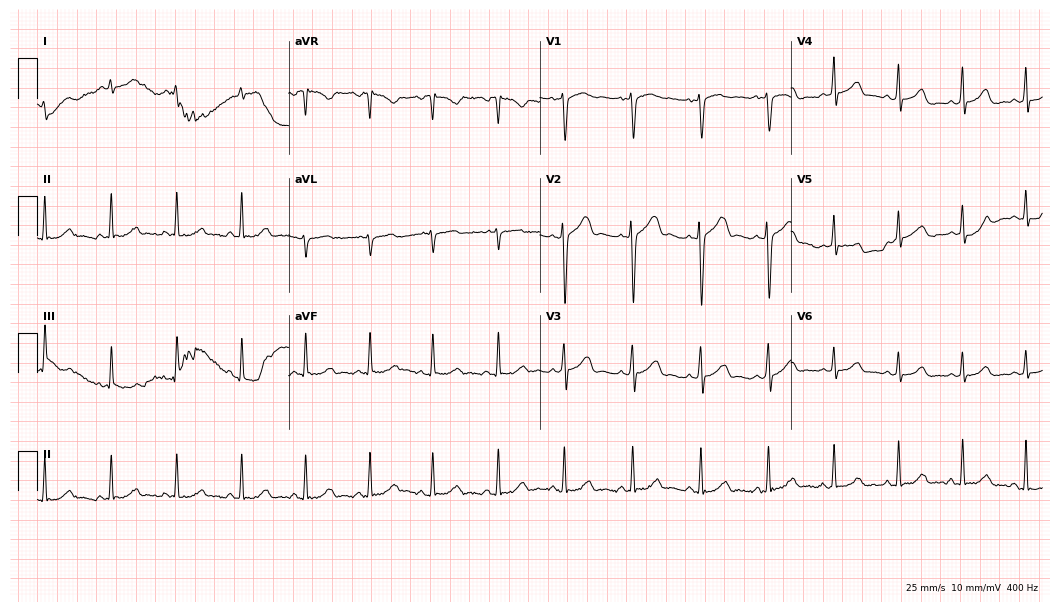
12-lead ECG (10.2-second recording at 400 Hz) from a female patient, 34 years old. Screened for six findings — first-degree AV block, right bundle branch block, left bundle branch block, sinus bradycardia, atrial fibrillation, sinus tachycardia — none is recorded. Only these six findings were labelled.